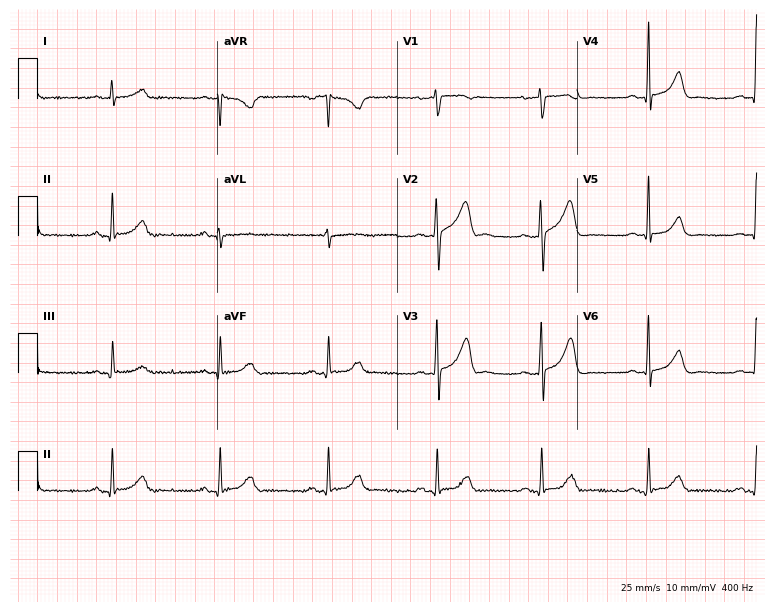
Resting 12-lead electrocardiogram. Patient: a male, 56 years old. Read as a normal ECG.